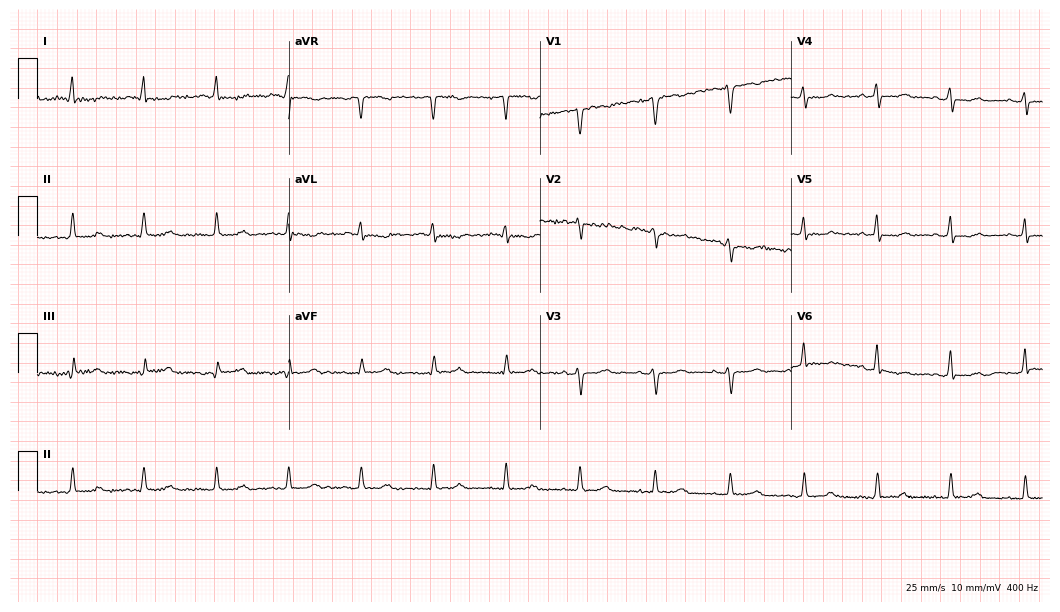
Standard 12-lead ECG recorded from a 53-year-old female patient (10.2-second recording at 400 Hz). None of these six findings is recorded: first-degree AV block, right bundle branch block, left bundle branch block, sinus bradycardia, atrial fibrillation, sinus tachycardia.